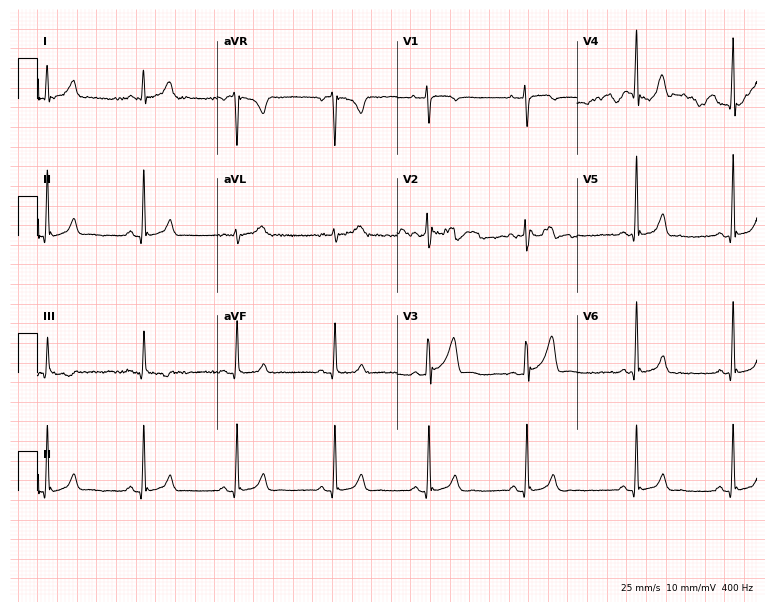
Standard 12-lead ECG recorded from a 25-year-old male patient. Read as a normal ECG.